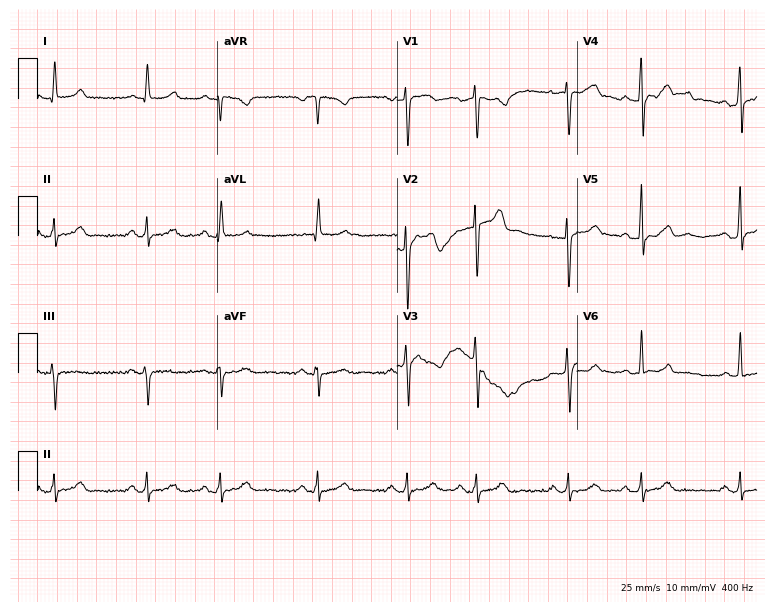
Standard 12-lead ECG recorded from a female patient, 47 years old. None of these six findings is recorded: first-degree AV block, right bundle branch block (RBBB), left bundle branch block (LBBB), sinus bradycardia, atrial fibrillation (AF), sinus tachycardia. Findings outside these six are not listed.